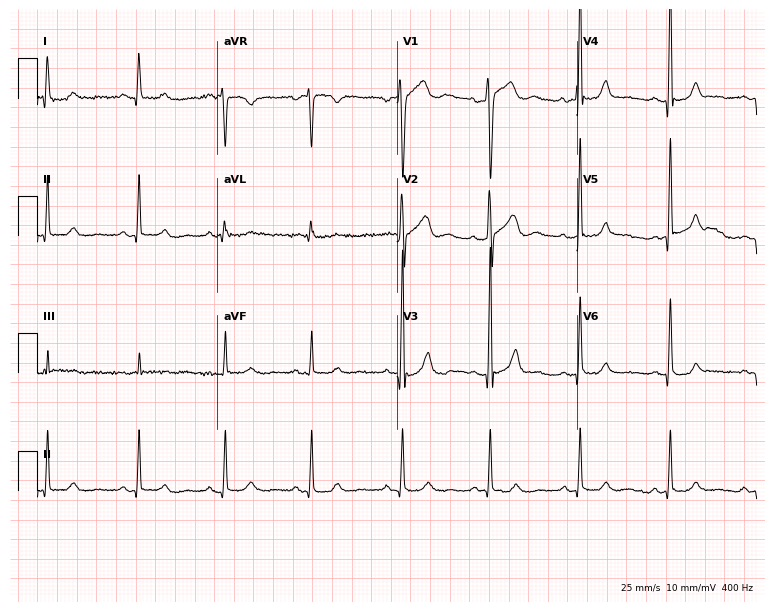
Resting 12-lead electrocardiogram (7.3-second recording at 400 Hz). Patient: a male, 30 years old. Read as a normal ECG.